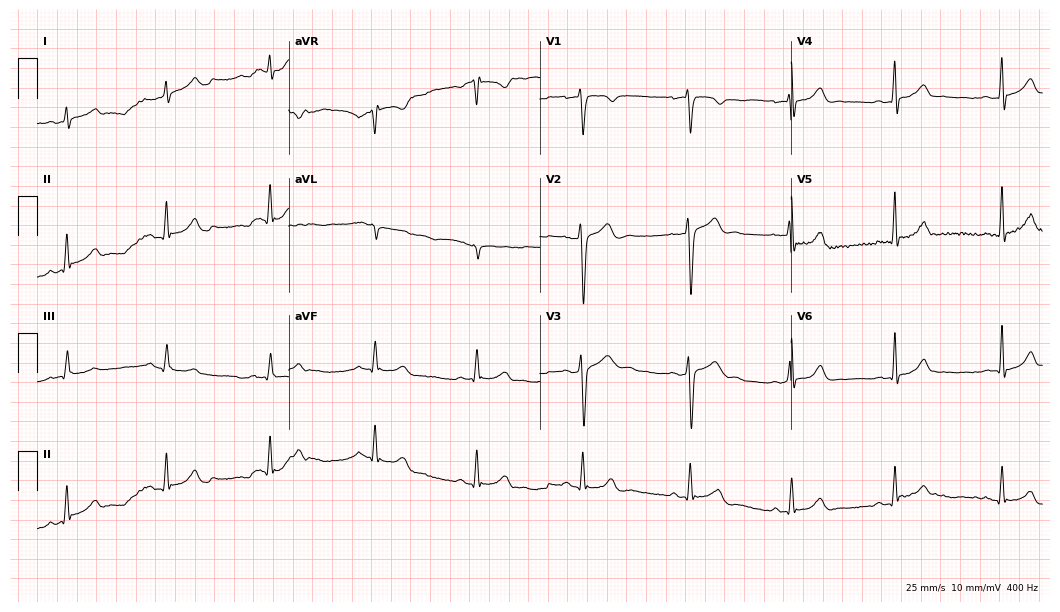
Resting 12-lead electrocardiogram. Patient: a 22-year-old male. Read as a normal ECG.